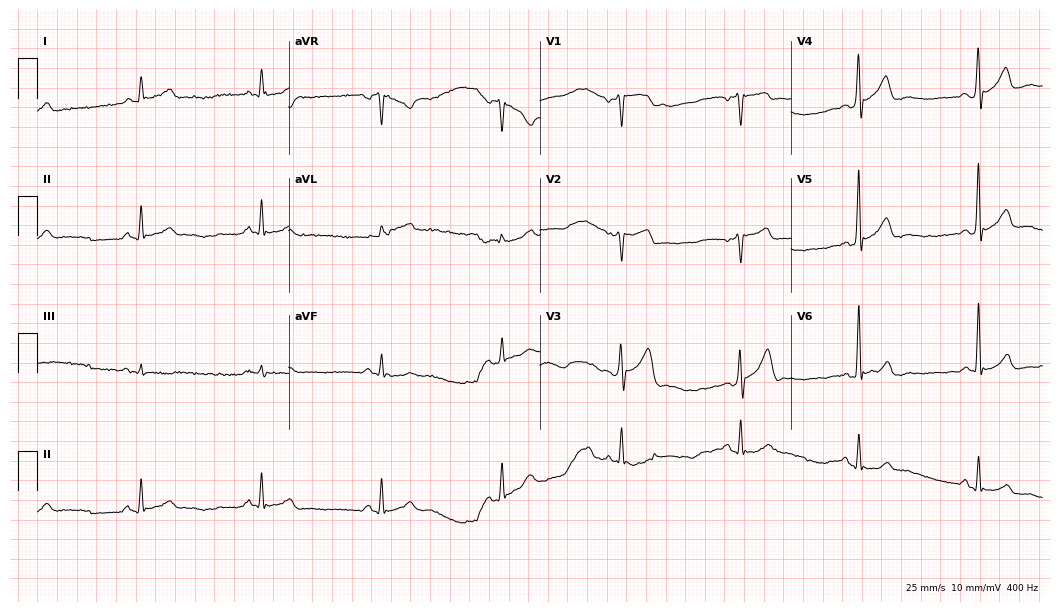
ECG — a 58-year-old male. Labelled as a normal ECG.